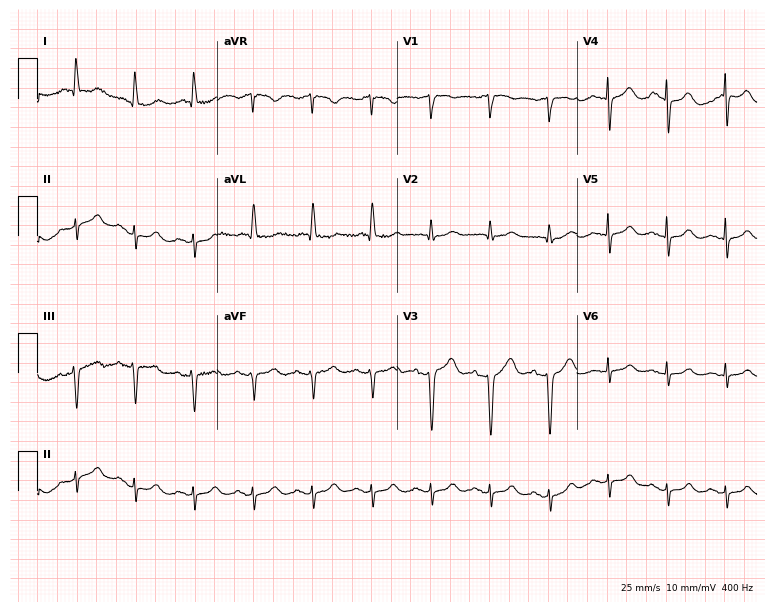
Electrocardiogram, a female patient, 84 years old. Of the six screened findings (first-degree AV block, right bundle branch block, left bundle branch block, sinus bradycardia, atrial fibrillation, sinus tachycardia), none is recorded. Findings outside these six are not listed.